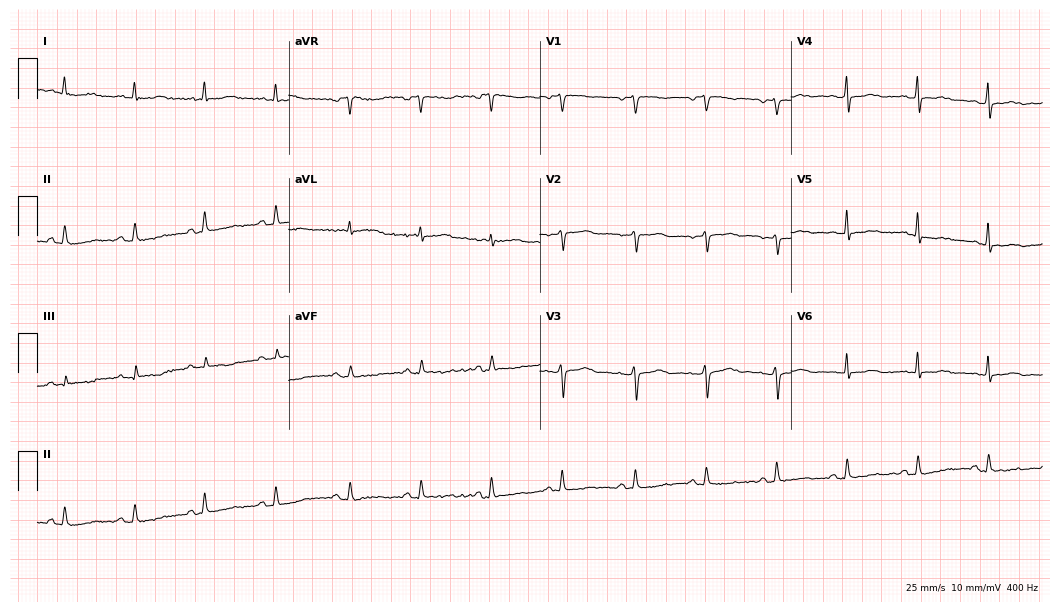
12-lead ECG from a female patient, 53 years old (10.2-second recording at 400 Hz). No first-degree AV block, right bundle branch block (RBBB), left bundle branch block (LBBB), sinus bradycardia, atrial fibrillation (AF) or sinus tachycardia recorded for this tracing. Only these six findings were labelled.